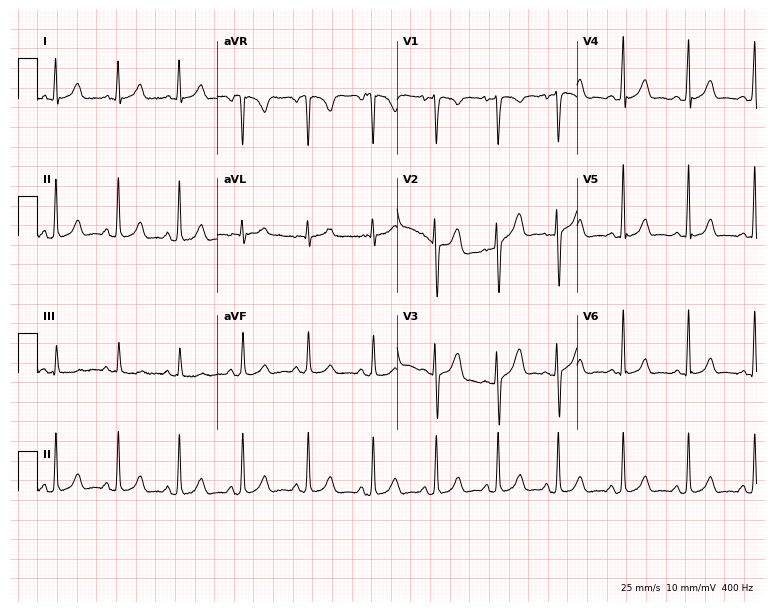
Standard 12-lead ECG recorded from a female patient, 23 years old. Read as a normal ECG.